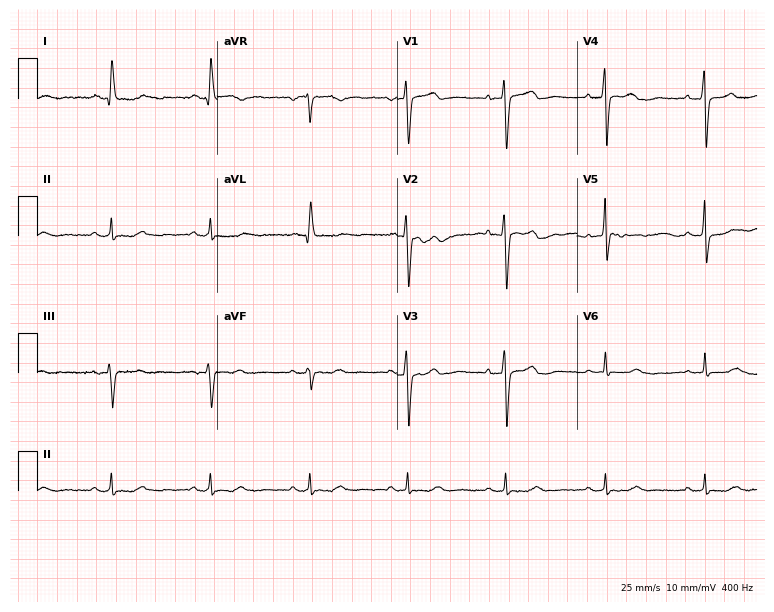
12-lead ECG from a female, 65 years old (7.3-second recording at 400 Hz). Recorded interpretation: within normal limits.